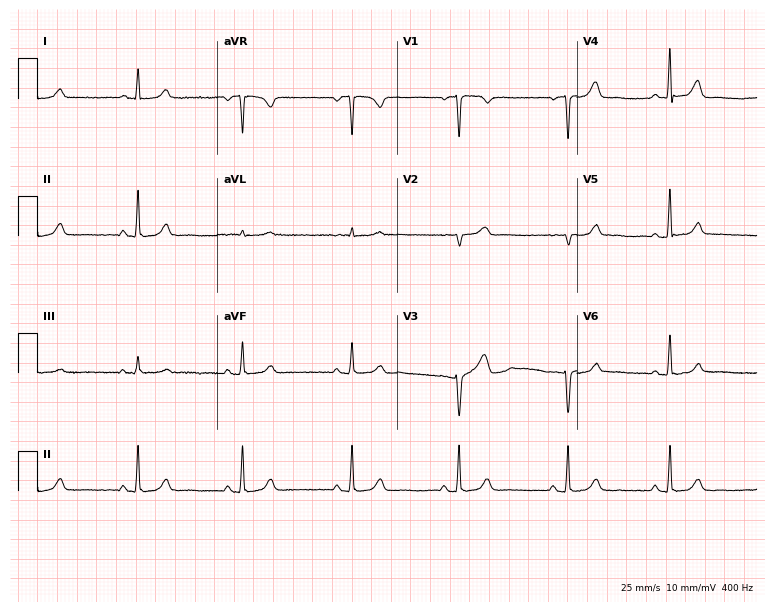
ECG — a woman, 49 years old. Screened for six findings — first-degree AV block, right bundle branch block (RBBB), left bundle branch block (LBBB), sinus bradycardia, atrial fibrillation (AF), sinus tachycardia — none is recorded.